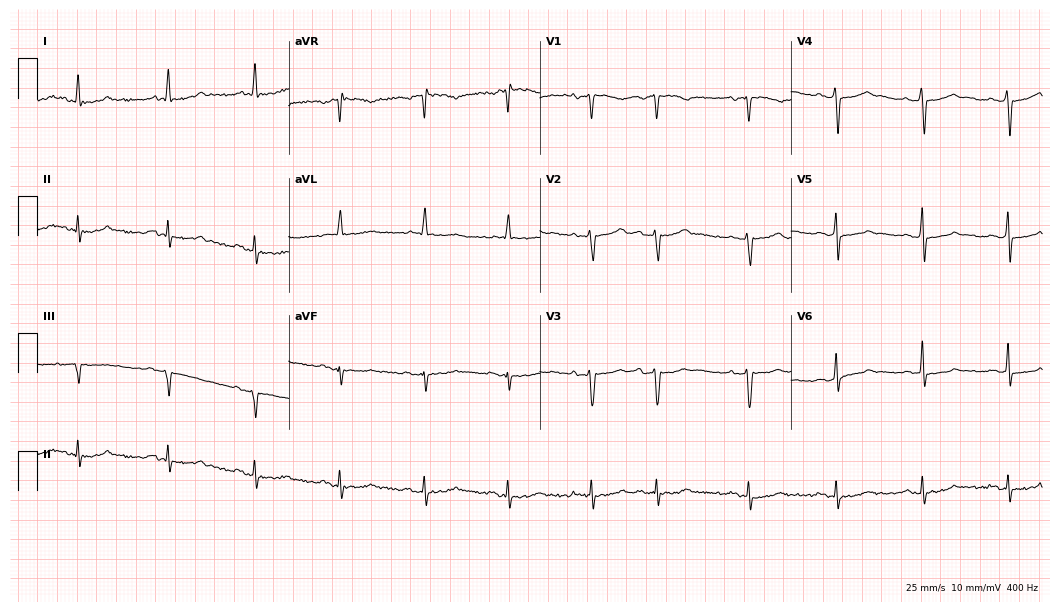
12-lead ECG from a man, 62 years old. Recorded interpretation: within normal limits.